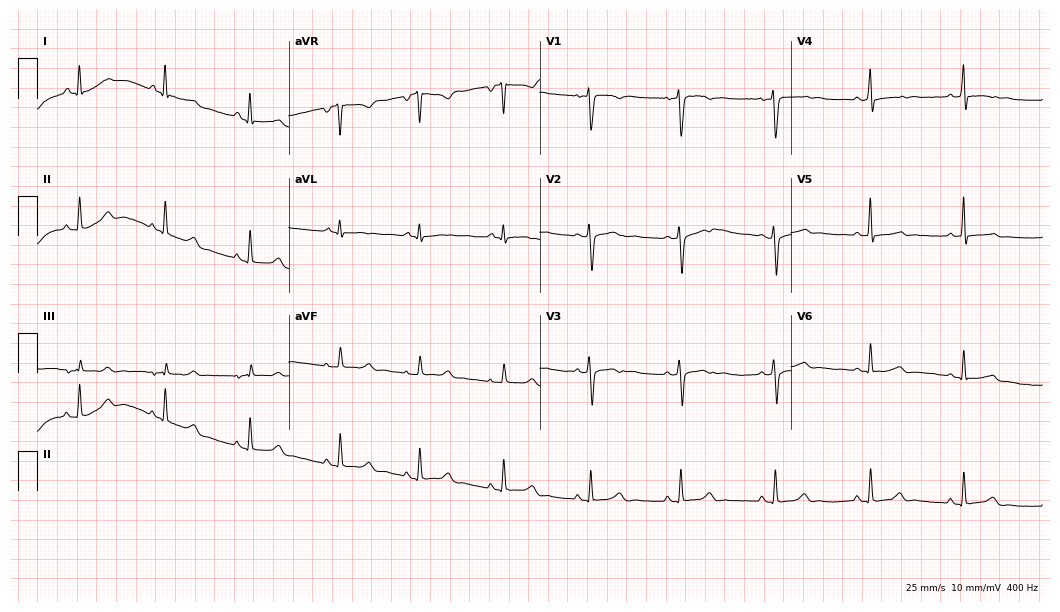
Electrocardiogram, a 31-year-old female patient. Overall reading on record: normal ECG.